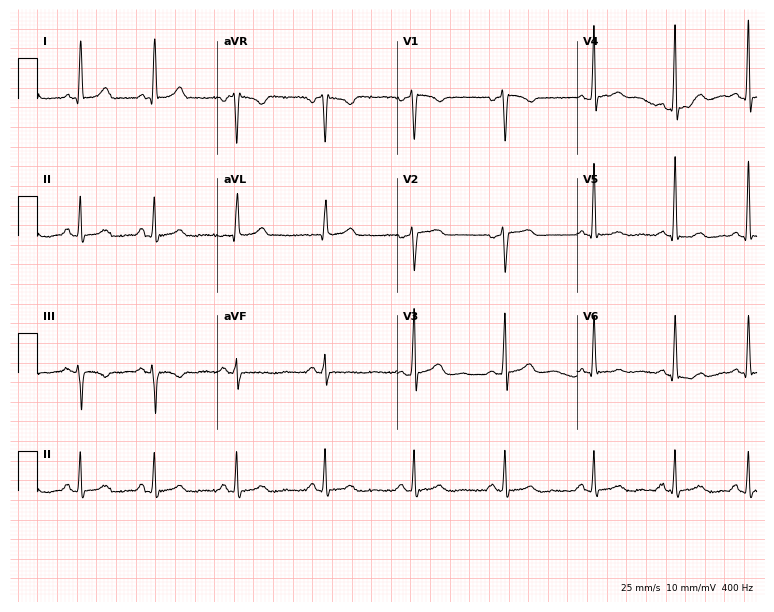
Standard 12-lead ECG recorded from a female, 46 years old. Read as a normal ECG.